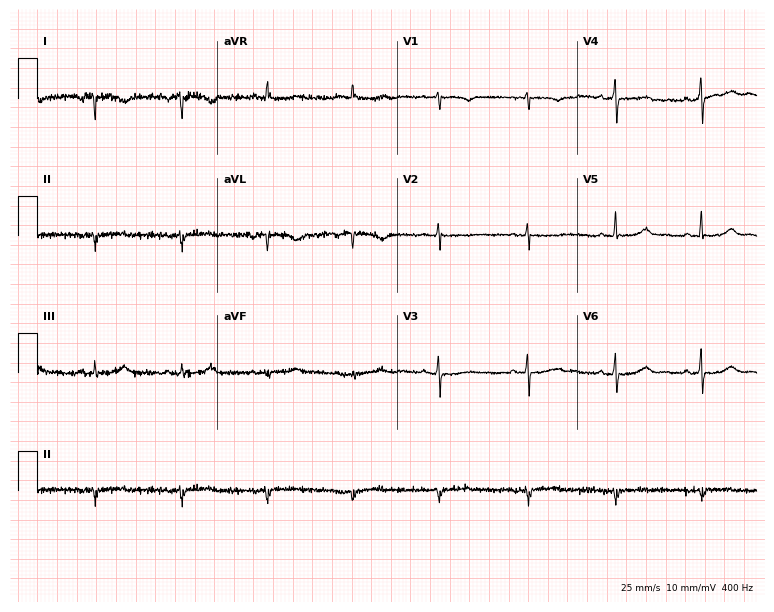
Electrocardiogram, a female patient, 71 years old. Of the six screened findings (first-degree AV block, right bundle branch block (RBBB), left bundle branch block (LBBB), sinus bradycardia, atrial fibrillation (AF), sinus tachycardia), none is recorded.